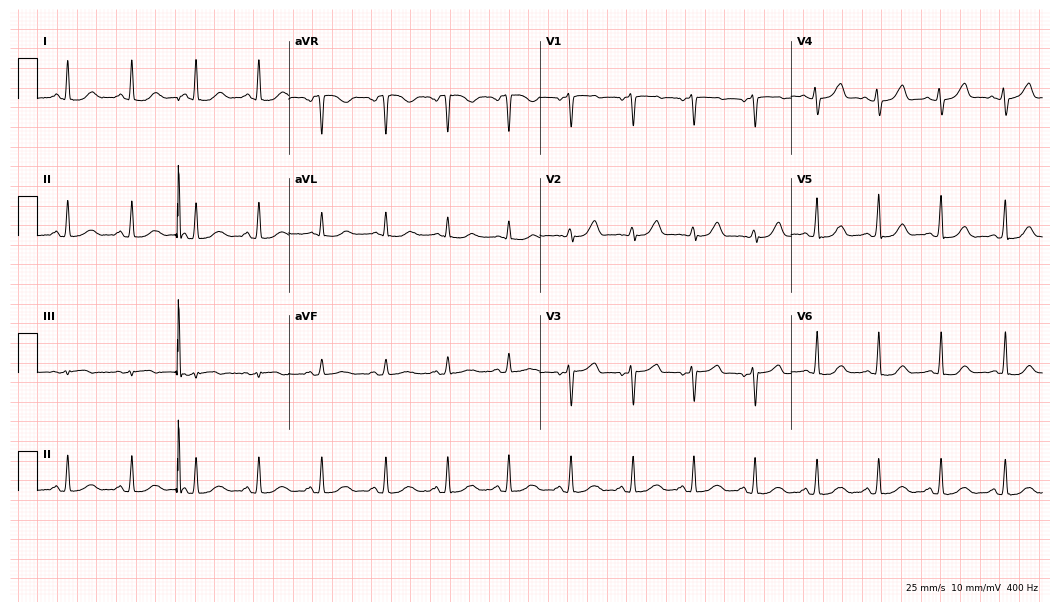
Standard 12-lead ECG recorded from a woman, 50 years old. Read as a normal ECG.